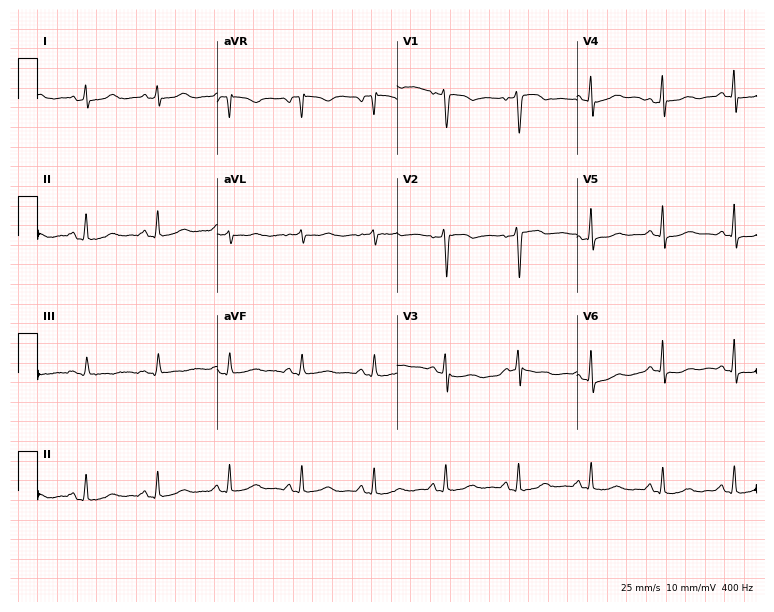
Standard 12-lead ECG recorded from a 43-year-old female (7.3-second recording at 400 Hz). None of these six findings is recorded: first-degree AV block, right bundle branch block, left bundle branch block, sinus bradycardia, atrial fibrillation, sinus tachycardia. Only these six findings were labelled.